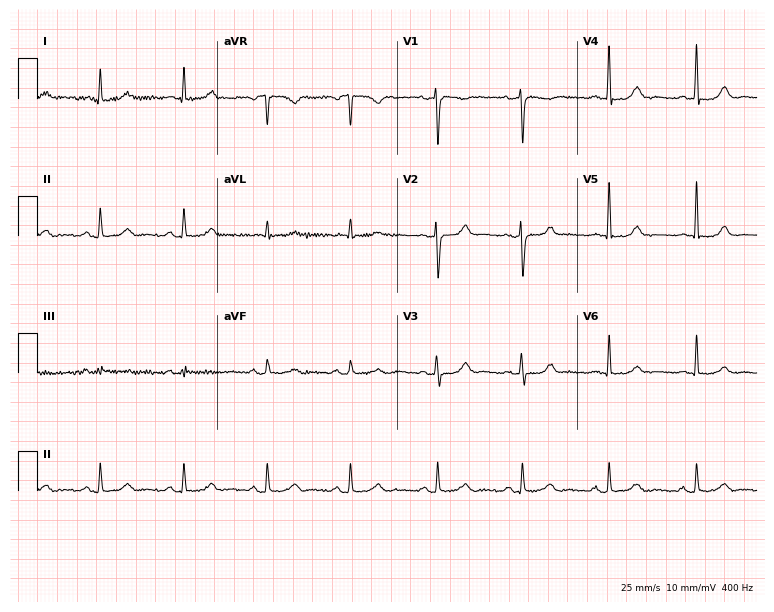
Electrocardiogram (7.3-second recording at 400 Hz), a 48-year-old woman. Of the six screened findings (first-degree AV block, right bundle branch block, left bundle branch block, sinus bradycardia, atrial fibrillation, sinus tachycardia), none is recorded. Findings outside these six are not listed.